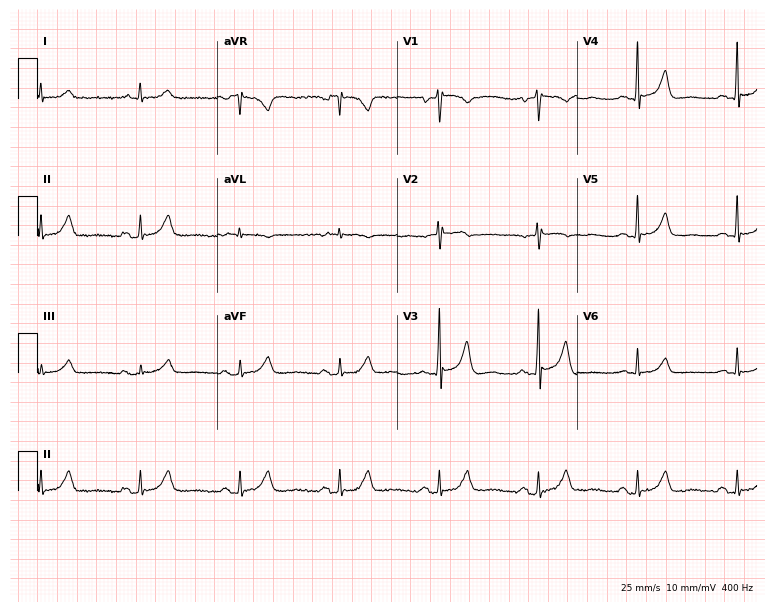
ECG — a male, 70 years old. Labelled as a normal ECG.